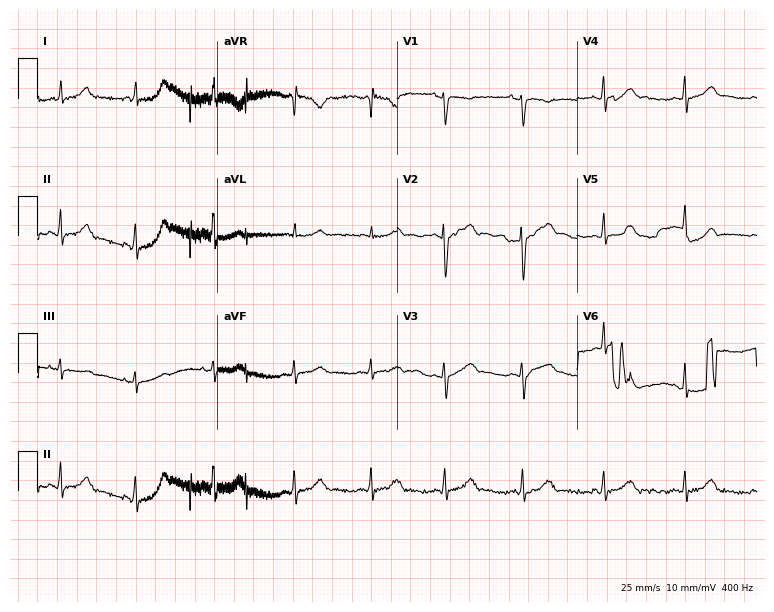
Resting 12-lead electrocardiogram (7.3-second recording at 400 Hz). Patient: a 31-year-old female. Read as a normal ECG.